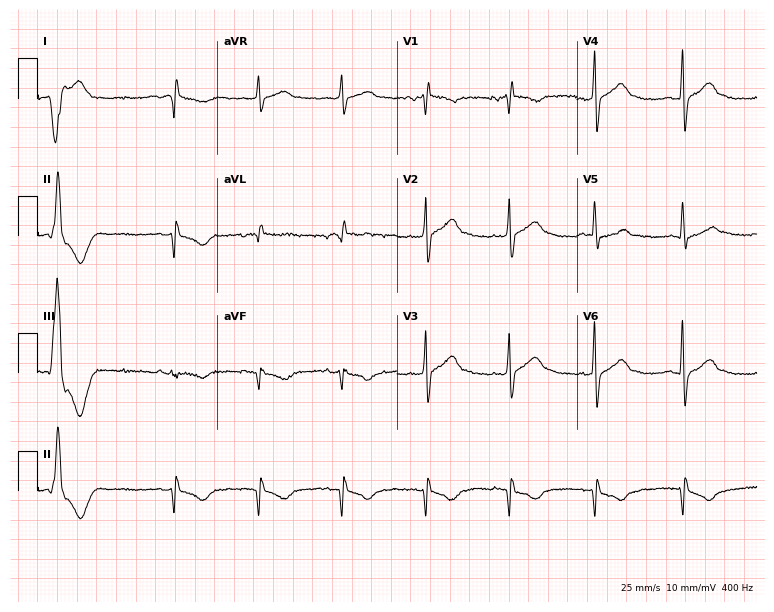
Electrocardiogram, a man, 66 years old. Of the six screened findings (first-degree AV block, right bundle branch block, left bundle branch block, sinus bradycardia, atrial fibrillation, sinus tachycardia), none is recorded. Only these six findings were labelled.